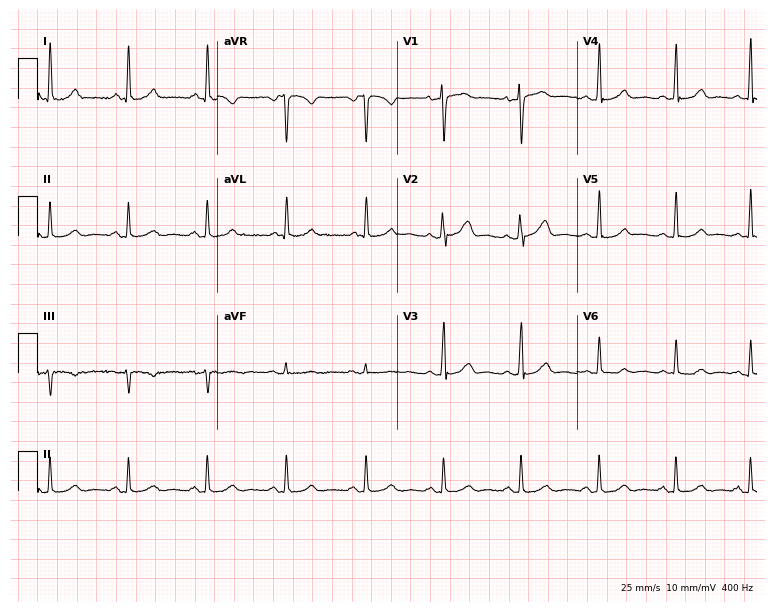
12-lead ECG from a 45-year-old woman. Screened for six findings — first-degree AV block, right bundle branch block, left bundle branch block, sinus bradycardia, atrial fibrillation, sinus tachycardia — none is recorded.